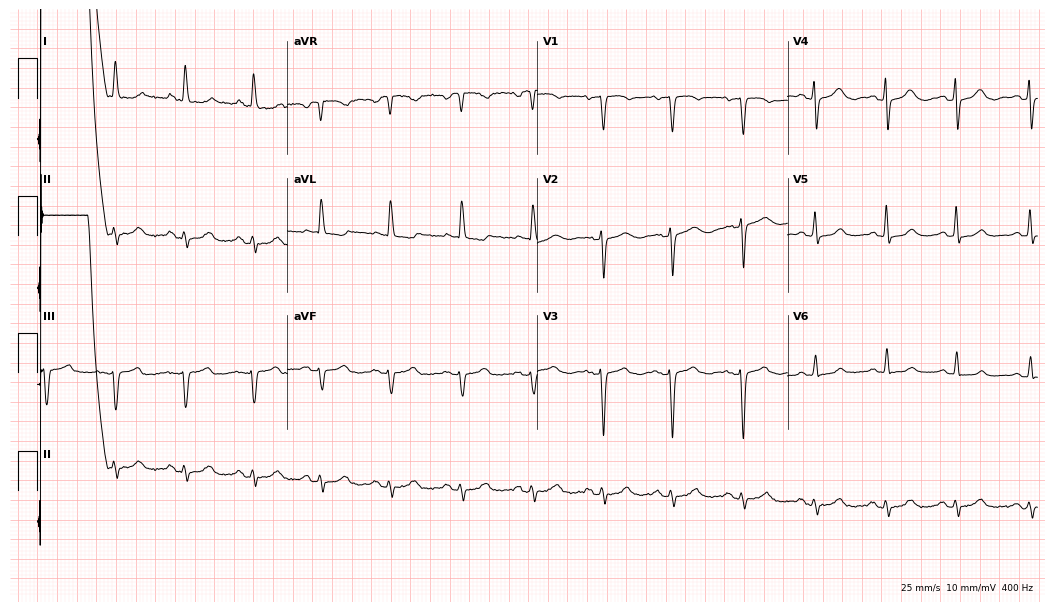
Resting 12-lead electrocardiogram. Patient: a 77-year-old woman. None of these six findings is recorded: first-degree AV block, right bundle branch block (RBBB), left bundle branch block (LBBB), sinus bradycardia, atrial fibrillation (AF), sinus tachycardia.